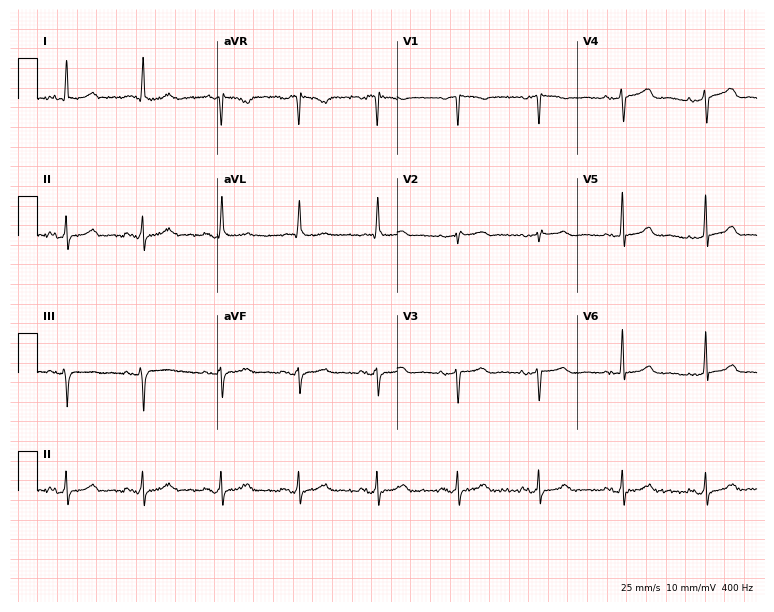
ECG (7.3-second recording at 400 Hz) — a woman, 79 years old. Screened for six findings — first-degree AV block, right bundle branch block, left bundle branch block, sinus bradycardia, atrial fibrillation, sinus tachycardia — none is recorded.